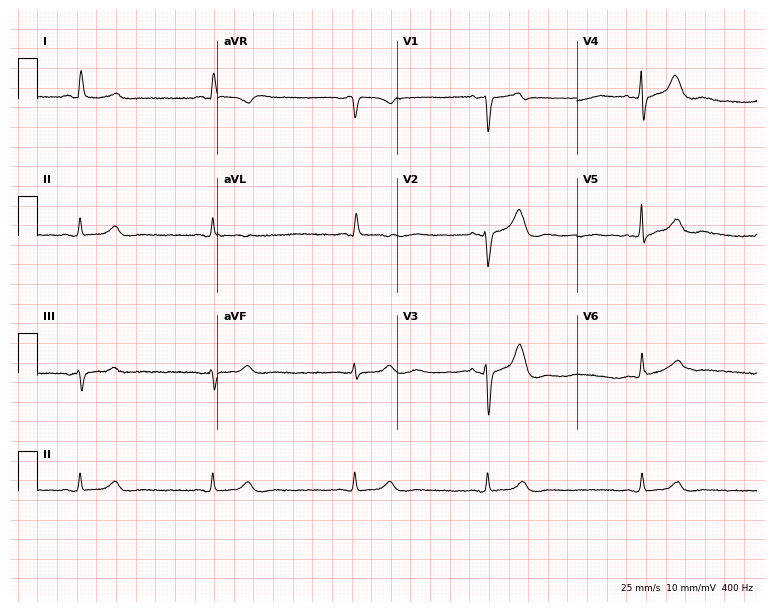
12-lead ECG from a 79-year-old man. No first-degree AV block, right bundle branch block (RBBB), left bundle branch block (LBBB), sinus bradycardia, atrial fibrillation (AF) or sinus tachycardia recorded for this tracing. Findings outside these six are not listed.